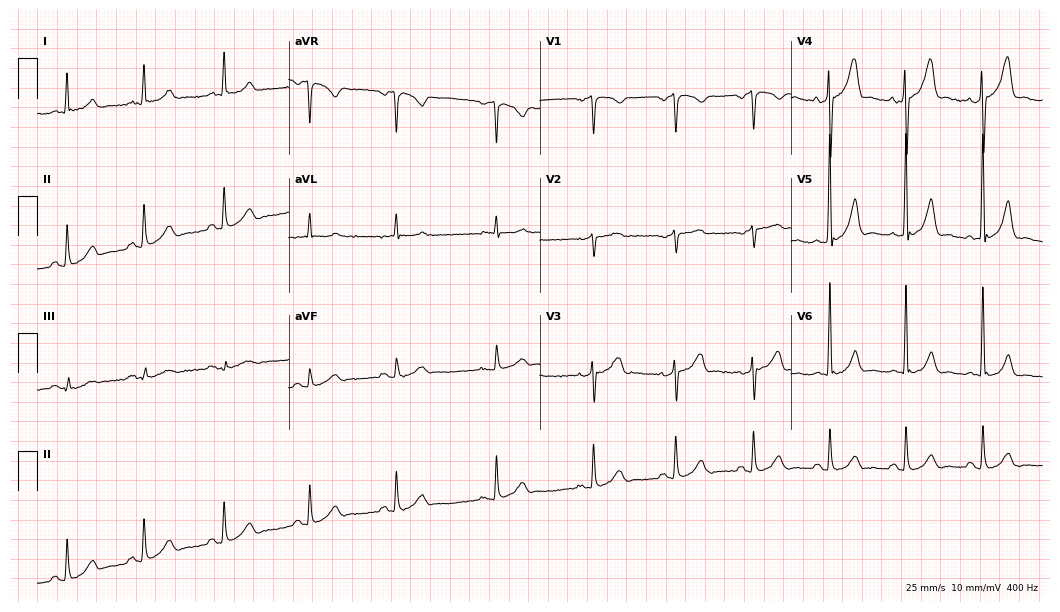
12-lead ECG (10.2-second recording at 400 Hz) from a male patient, 65 years old. Labelled as a normal ECG.